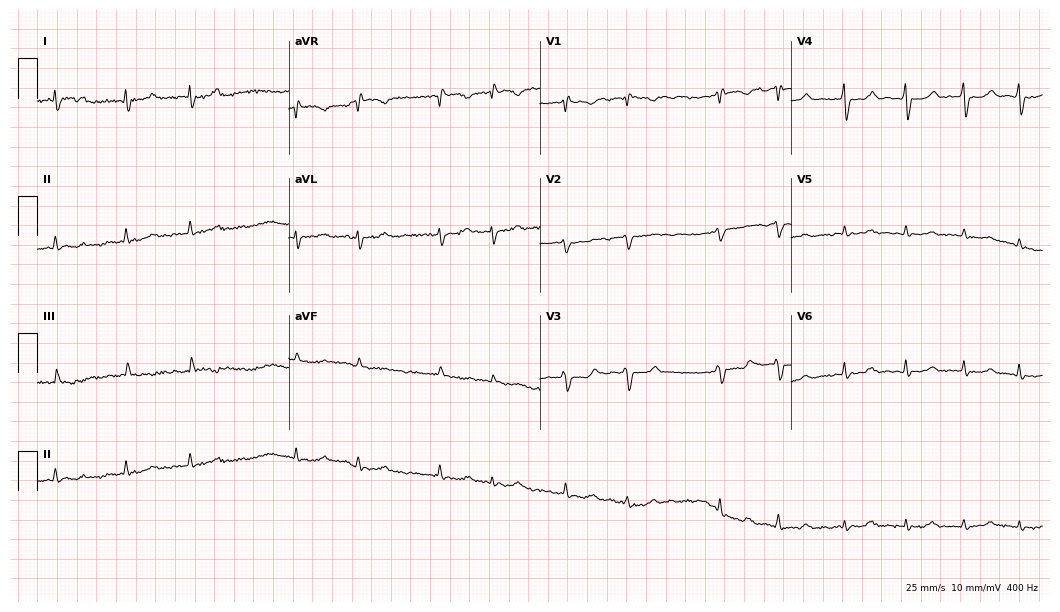
Resting 12-lead electrocardiogram (10.2-second recording at 400 Hz). Patient: a female, 76 years old. None of these six findings is recorded: first-degree AV block, right bundle branch block, left bundle branch block, sinus bradycardia, atrial fibrillation, sinus tachycardia. Other findings, if any, are not listed.